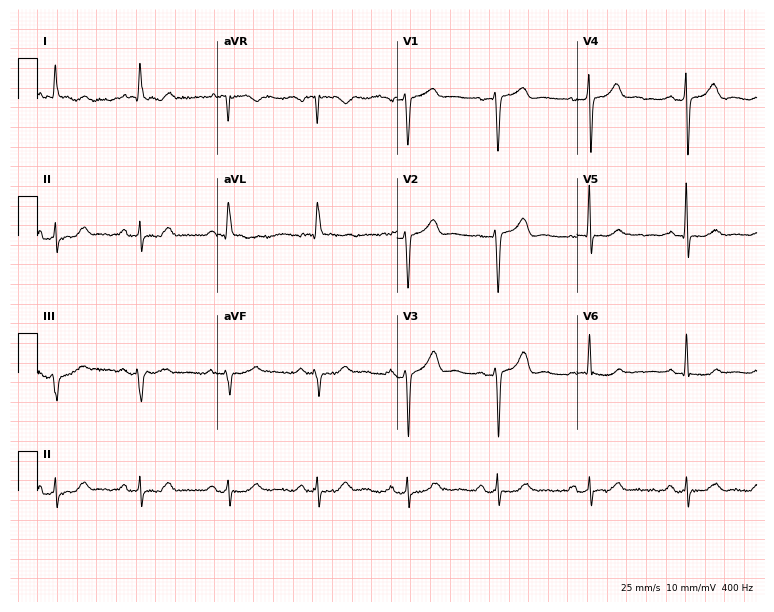
ECG — a woman, 67 years old. Screened for six findings — first-degree AV block, right bundle branch block, left bundle branch block, sinus bradycardia, atrial fibrillation, sinus tachycardia — none is recorded.